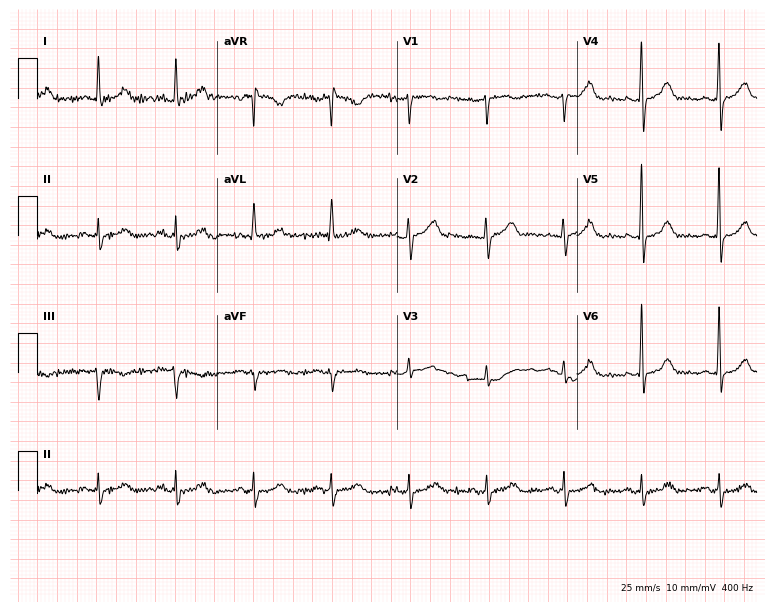
Resting 12-lead electrocardiogram (7.3-second recording at 400 Hz). Patient: a woman, 63 years old. None of these six findings is recorded: first-degree AV block, right bundle branch block (RBBB), left bundle branch block (LBBB), sinus bradycardia, atrial fibrillation (AF), sinus tachycardia.